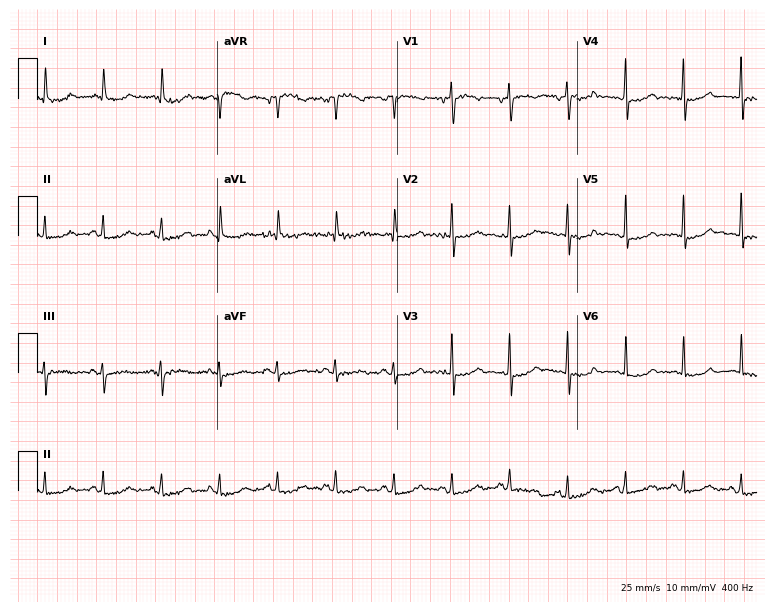
Resting 12-lead electrocardiogram. Patient: a 74-year-old female. The tracing shows sinus tachycardia (a sinus rate of 100 beats per minute or more).